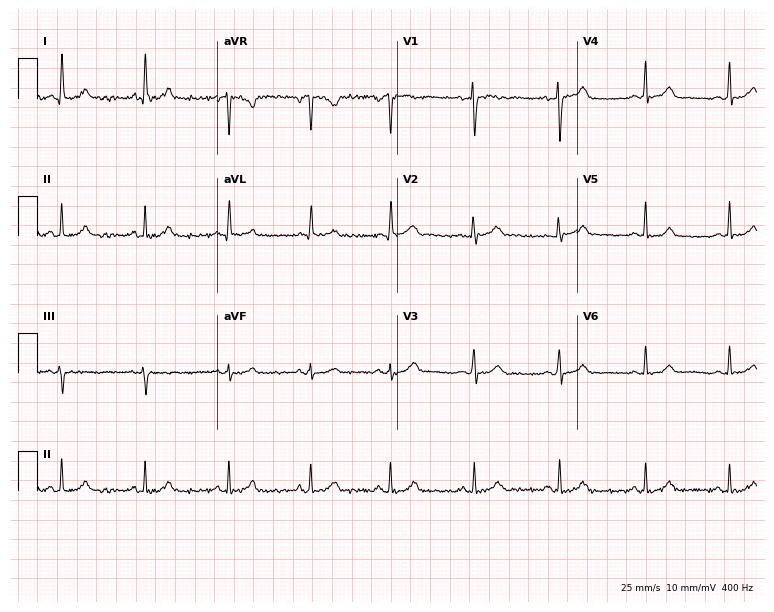
12-lead ECG from a female, 36 years old. Recorded interpretation: within normal limits.